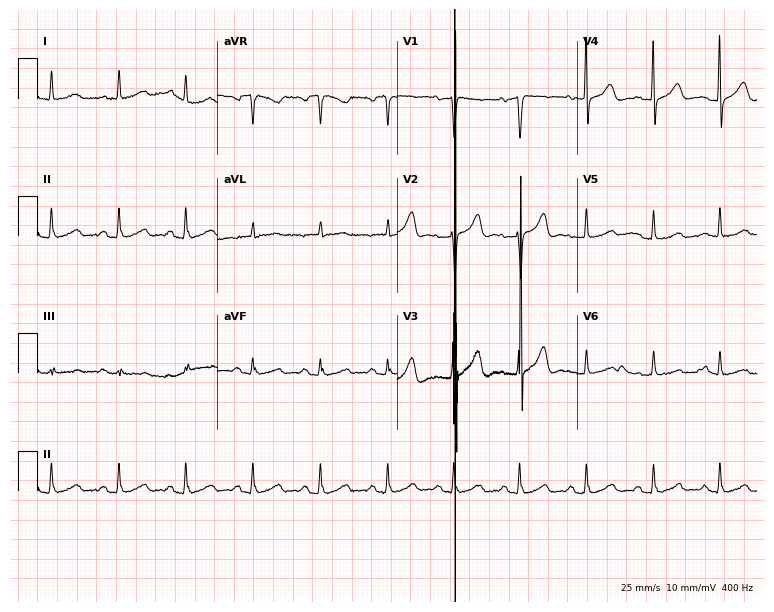
12-lead ECG from a woman, 62 years old. Labelled as a normal ECG.